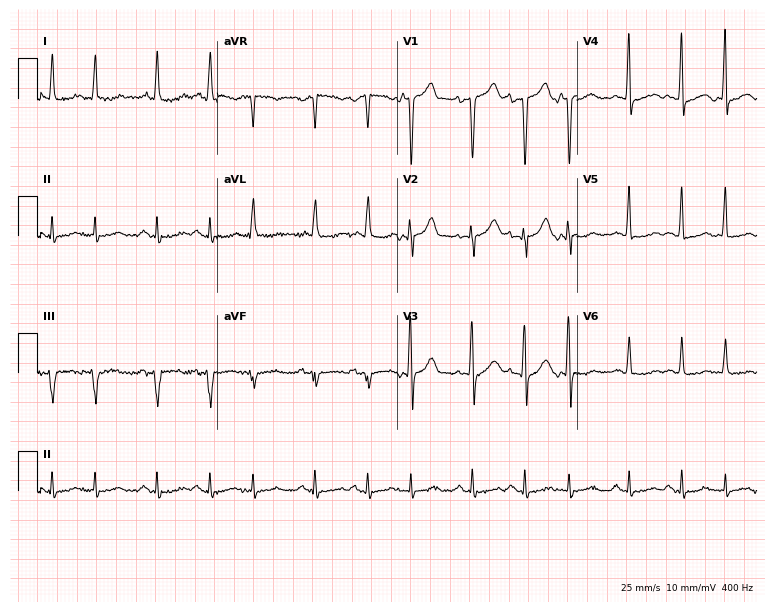
Standard 12-lead ECG recorded from a 59-year-old male. None of these six findings is recorded: first-degree AV block, right bundle branch block, left bundle branch block, sinus bradycardia, atrial fibrillation, sinus tachycardia. Other findings, if any, are not listed.